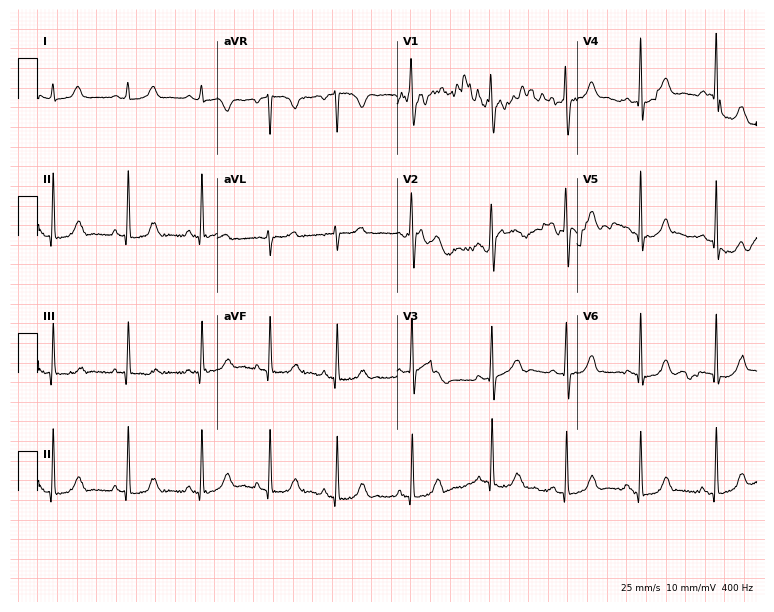
Resting 12-lead electrocardiogram. Patient: a 24-year-old female. Read as a normal ECG.